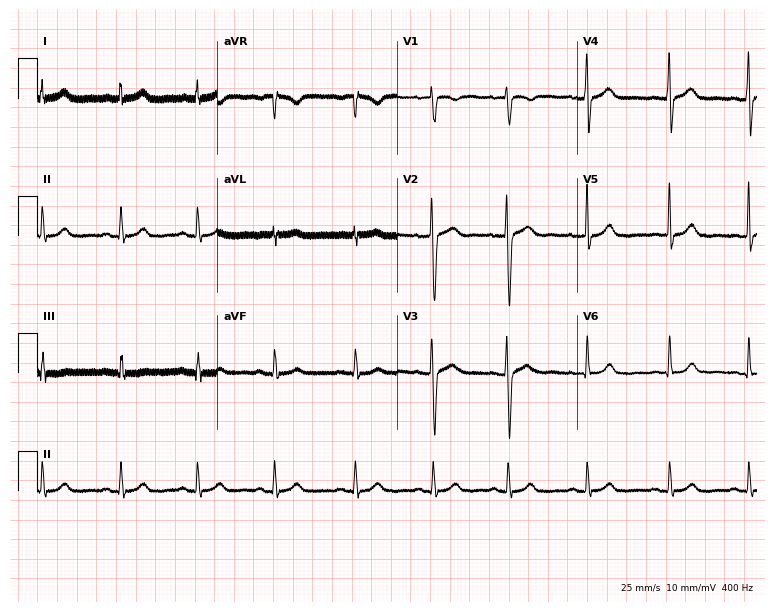
Resting 12-lead electrocardiogram (7.3-second recording at 400 Hz). Patient: a 45-year-old female. Read as a normal ECG.